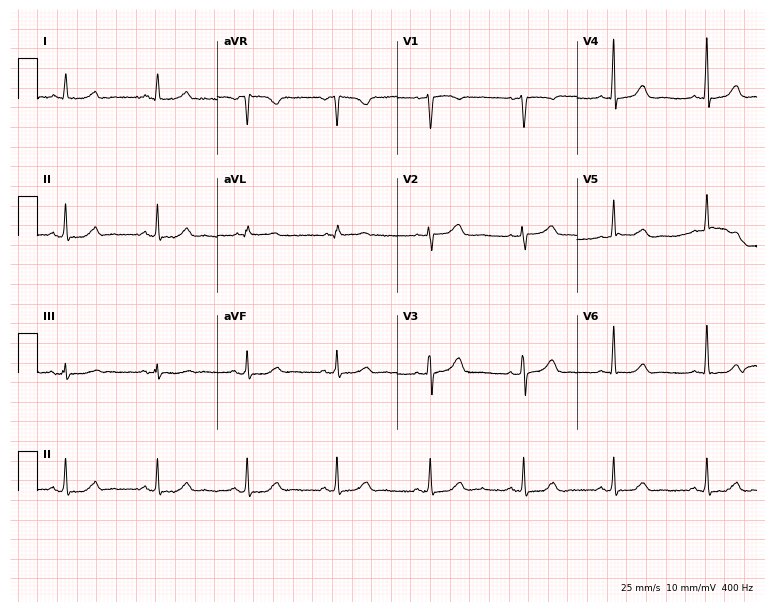
Standard 12-lead ECG recorded from a 52-year-old female (7.3-second recording at 400 Hz). None of these six findings is recorded: first-degree AV block, right bundle branch block, left bundle branch block, sinus bradycardia, atrial fibrillation, sinus tachycardia.